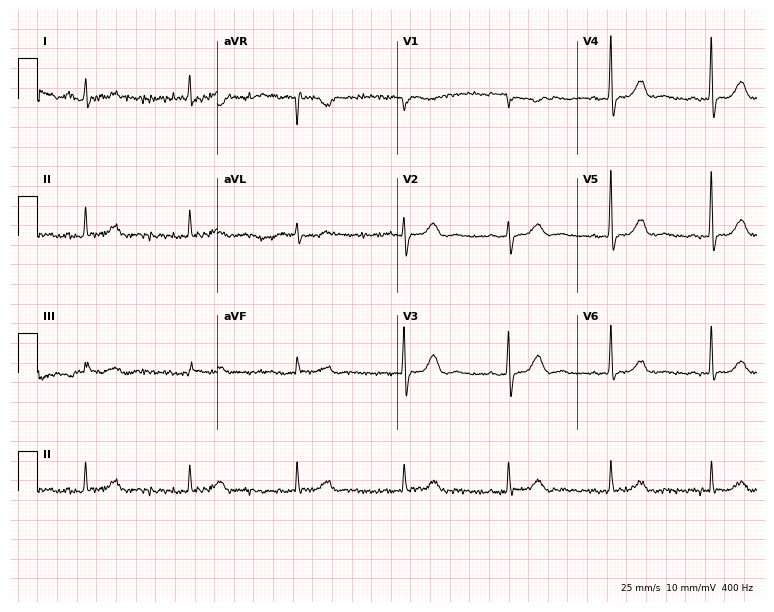
Standard 12-lead ECG recorded from a woman, 84 years old (7.3-second recording at 400 Hz). Read as a normal ECG.